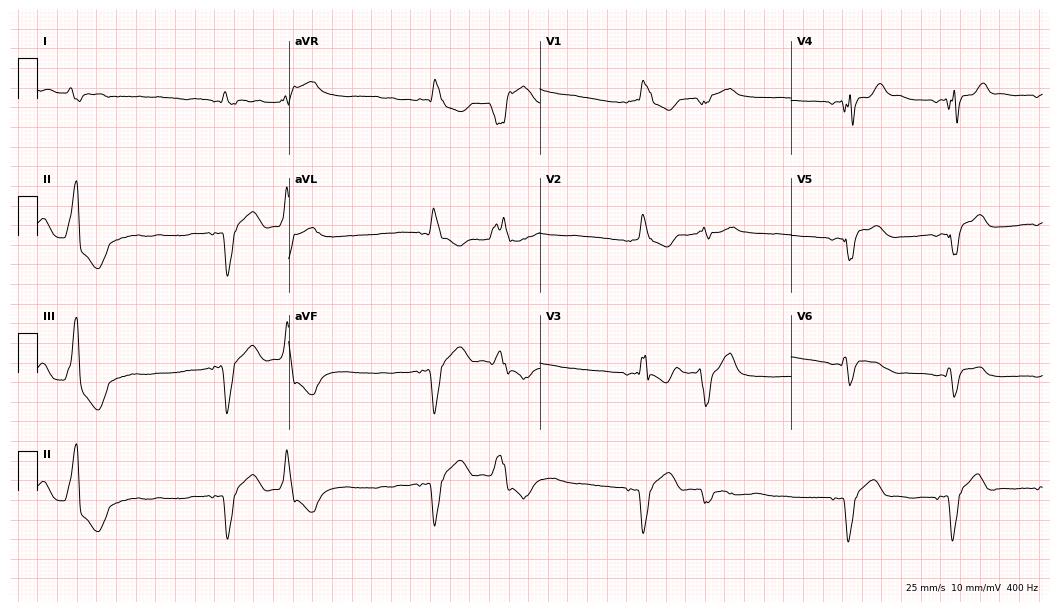
ECG — a male, 77 years old. Findings include left bundle branch block.